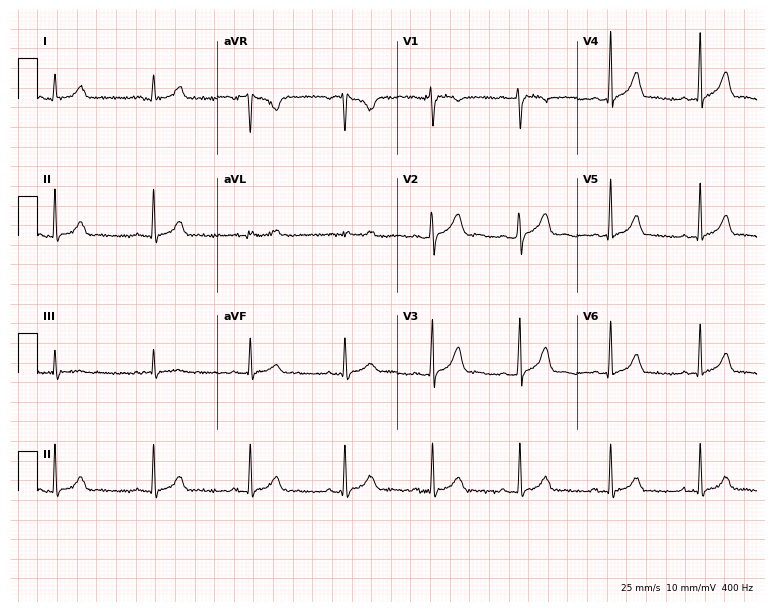
12-lead ECG from a 22-year-old man. No first-degree AV block, right bundle branch block, left bundle branch block, sinus bradycardia, atrial fibrillation or sinus tachycardia recorded for this tracing. Only these six findings were labelled.